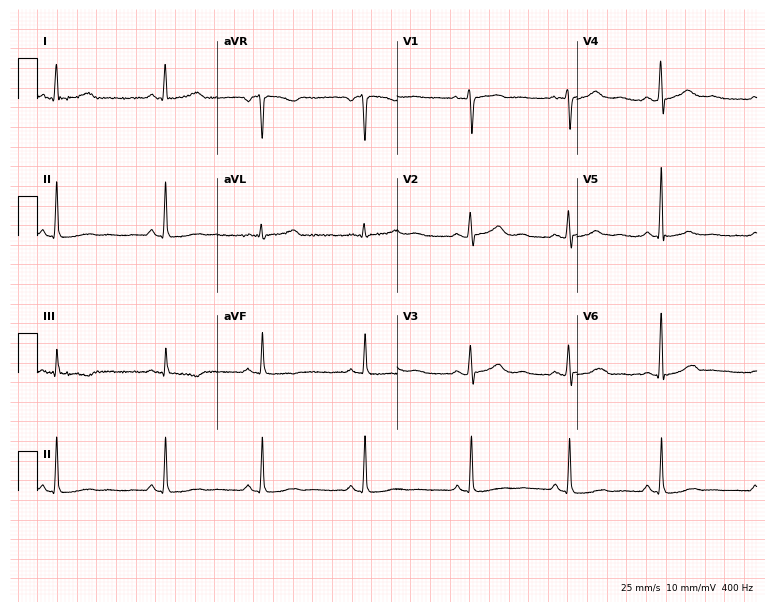
Standard 12-lead ECG recorded from a woman, 36 years old. None of these six findings is recorded: first-degree AV block, right bundle branch block, left bundle branch block, sinus bradycardia, atrial fibrillation, sinus tachycardia.